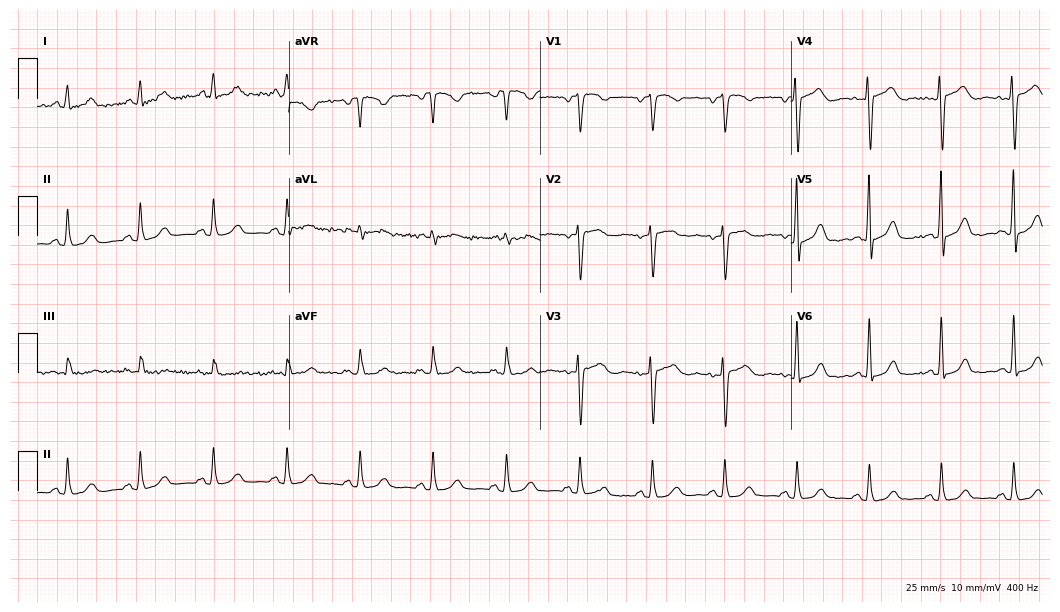
12-lead ECG (10.2-second recording at 400 Hz) from a 57-year-old woman. Labelled as a normal ECG.